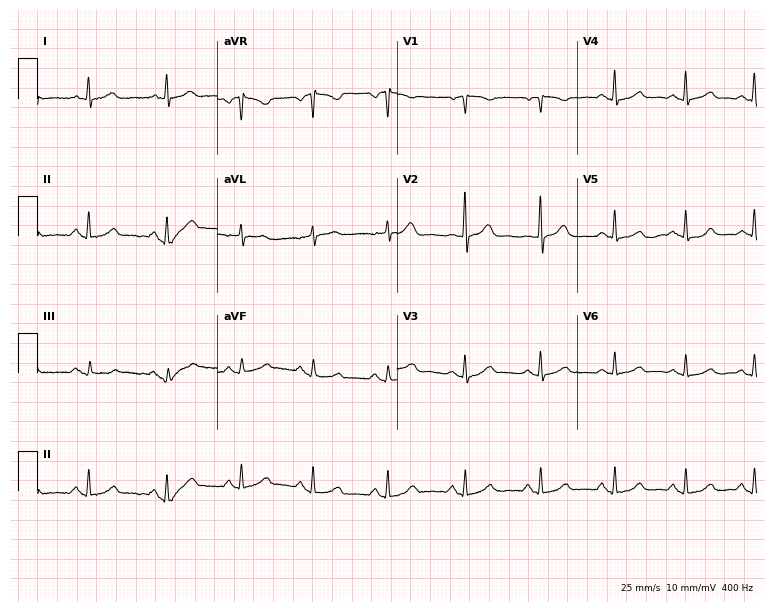
Resting 12-lead electrocardiogram. Patient: a female, 49 years old. Read as a normal ECG.